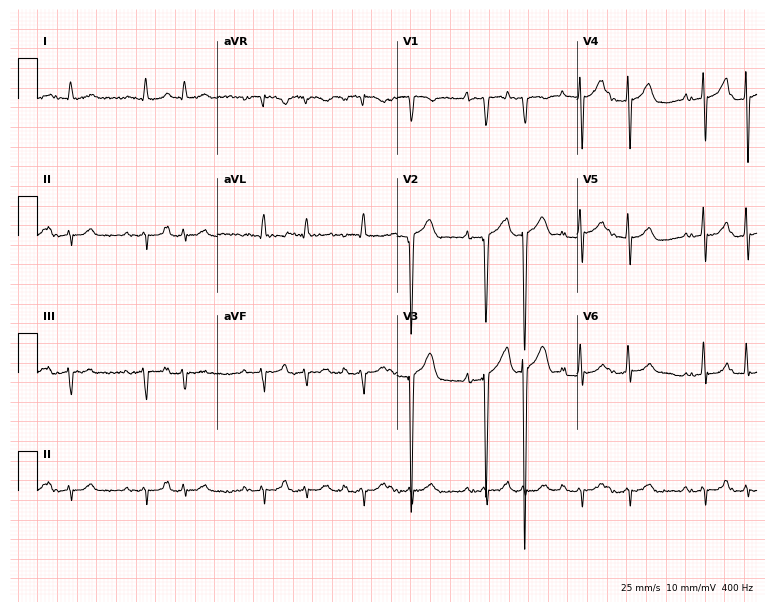
Electrocardiogram (7.3-second recording at 400 Hz), a man, 78 years old. Of the six screened findings (first-degree AV block, right bundle branch block, left bundle branch block, sinus bradycardia, atrial fibrillation, sinus tachycardia), none is recorded. Findings outside these six are not listed.